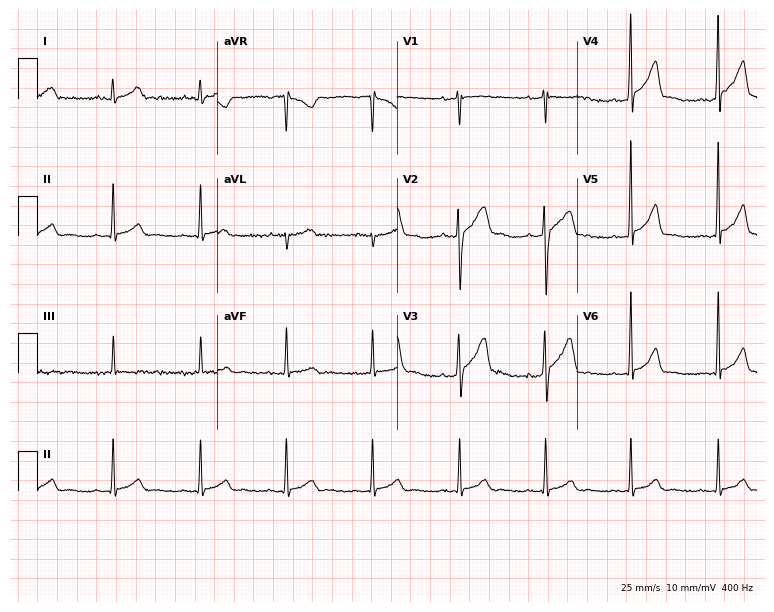
Electrocardiogram (7.3-second recording at 400 Hz), a 30-year-old male patient. Overall reading on record: normal ECG.